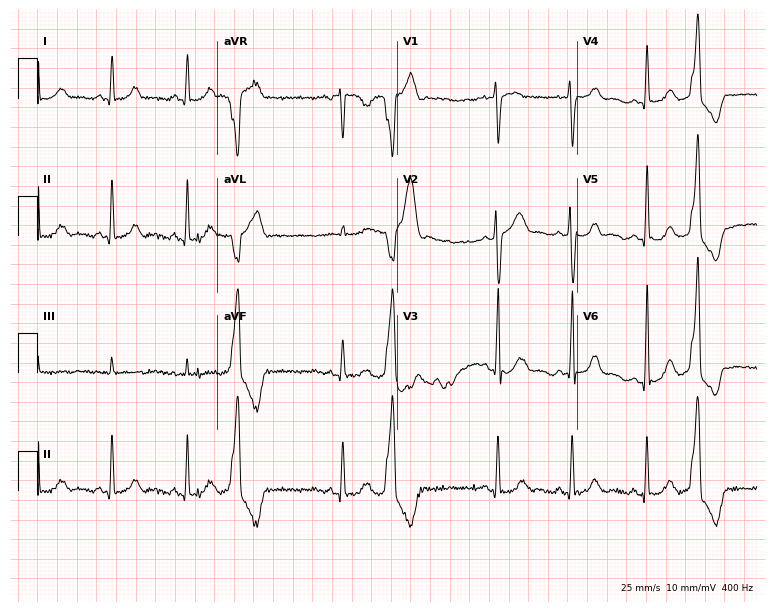
Resting 12-lead electrocardiogram (7.3-second recording at 400 Hz). Patient: a man, 40 years old. None of these six findings is recorded: first-degree AV block, right bundle branch block, left bundle branch block, sinus bradycardia, atrial fibrillation, sinus tachycardia.